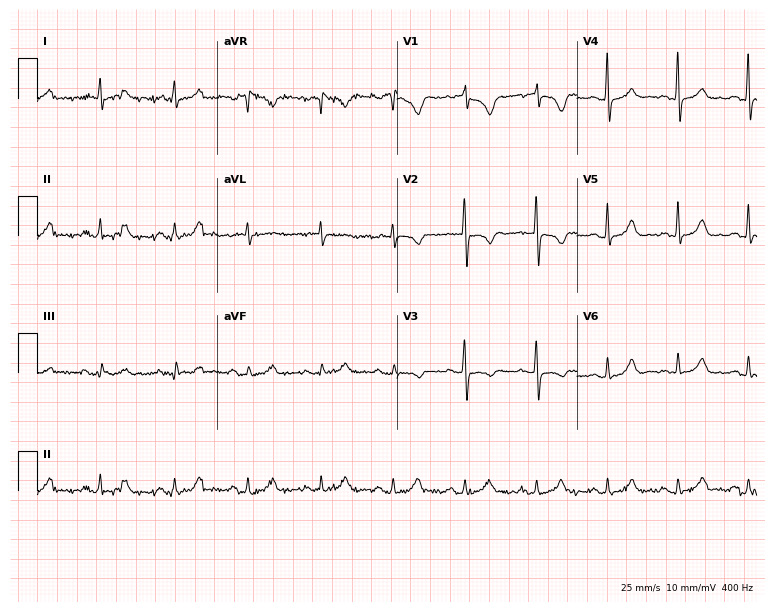
12-lead ECG (7.3-second recording at 400 Hz) from a female patient, 67 years old. Labelled as a normal ECG.